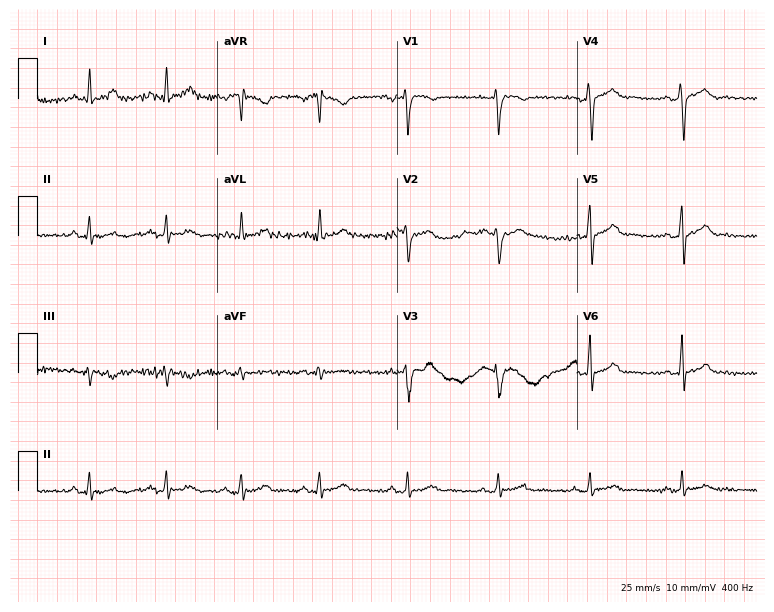
Resting 12-lead electrocardiogram. Patient: a 36-year-old male. None of these six findings is recorded: first-degree AV block, right bundle branch block, left bundle branch block, sinus bradycardia, atrial fibrillation, sinus tachycardia.